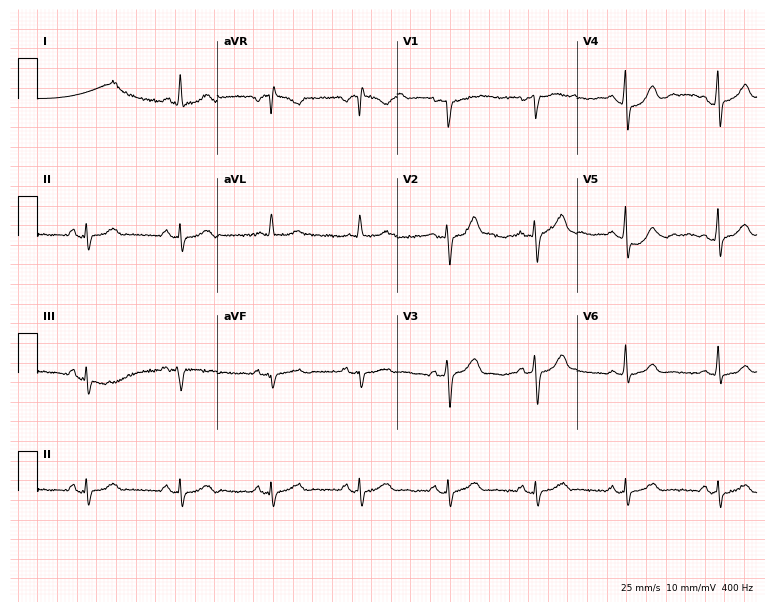
12-lead ECG from a 50-year-old male patient. No first-degree AV block, right bundle branch block, left bundle branch block, sinus bradycardia, atrial fibrillation or sinus tachycardia recorded for this tracing.